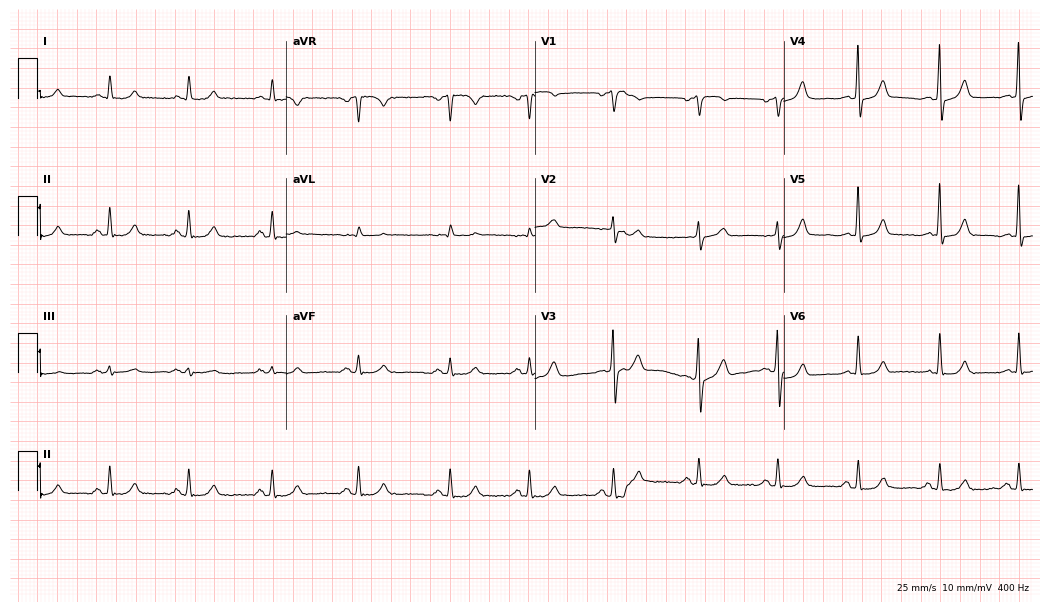
12-lead ECG from a male patient, 67 years old. Labelled as a normal ECG.